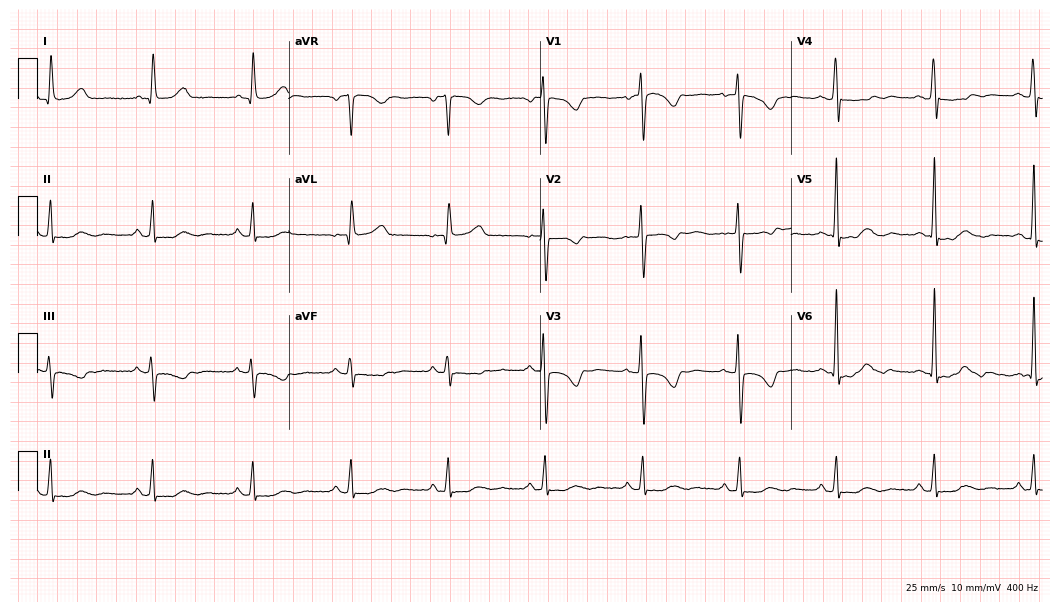
12-lead ECG from a woman, 63 years old. Screened for six findings — first-degree AV block, right bundle branch block, left bundle branch block, sinus bradycardia, atrial fibrillation, sinus tachycardia — none is recorded. Findings outside these six are not listed.